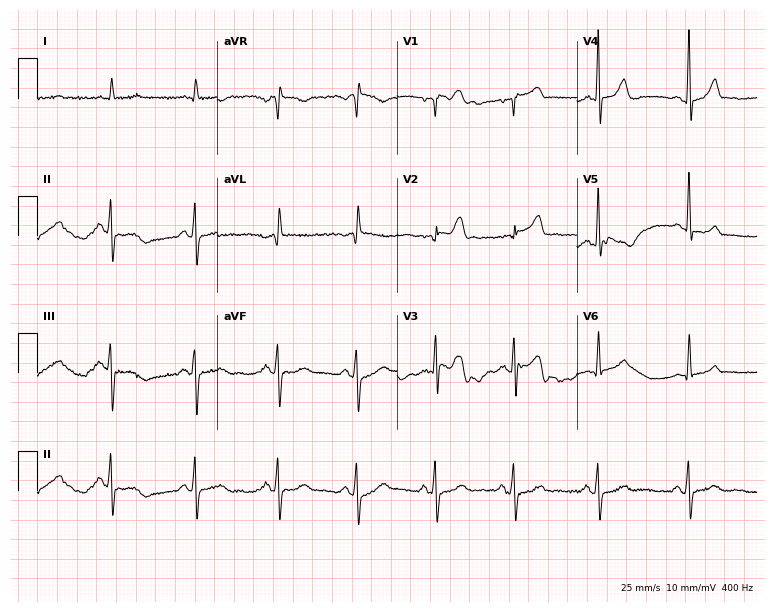
12-lead ECG from a 54-year-old male patient (7.3-second recording at 400 Hz). No first-degree AV block, right bundle branch block, left bundle branch block, sinus bradycardia, atrial fibrillation or sinus tachycardia recorded for this tracing.